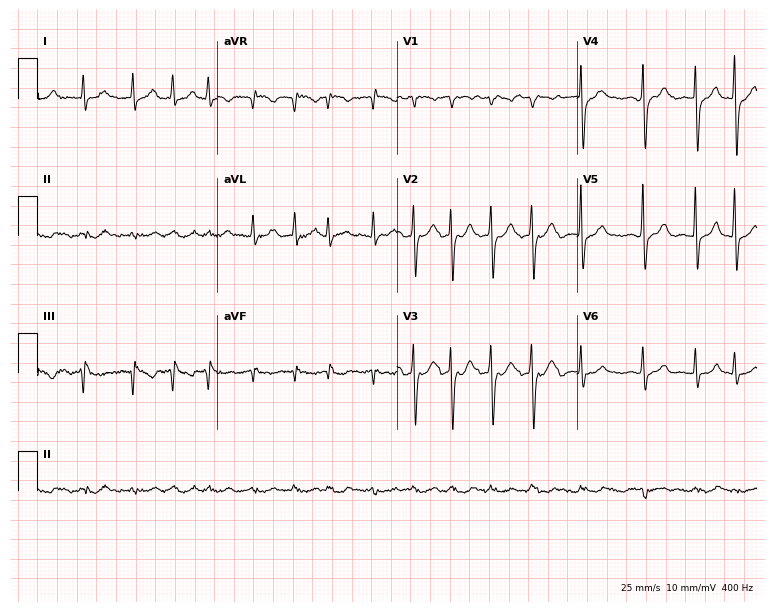
Electrocardiogram, a 66-year-old woman. Interpretation includes atrial fibrillation.